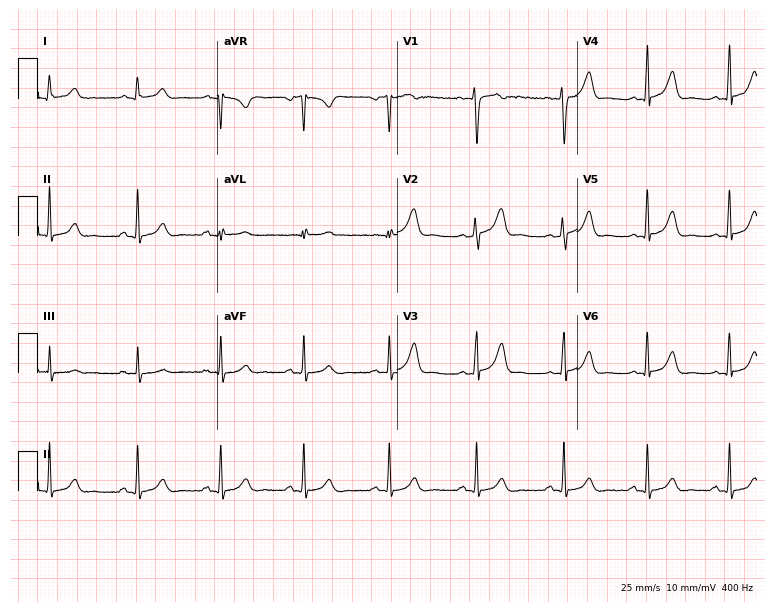
12-lead ECG from a female patient, 36 years old. Recorded interpretation: within normal limits.